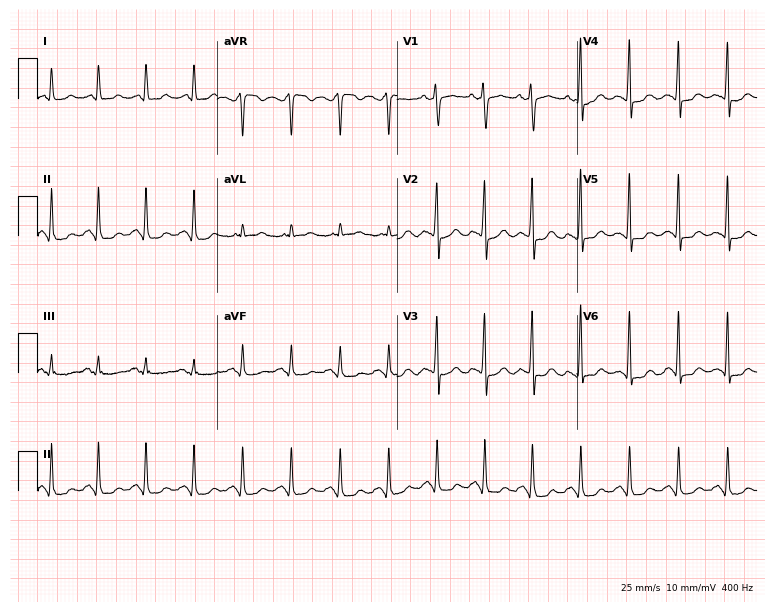
12-lead ECG from a 42-year-old woman (7.3-second recording at 400 Hz). Shows sinus tachycardia (a sinus rate of 100 beats per minute or more).